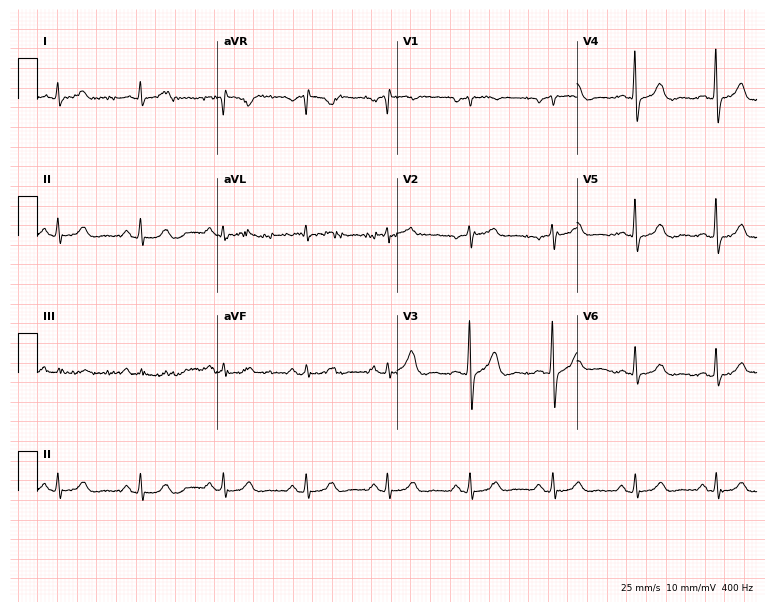
Resting 12-lead electrocardiogram. Patient: a female, 64 years old. Read as a normal ECG.